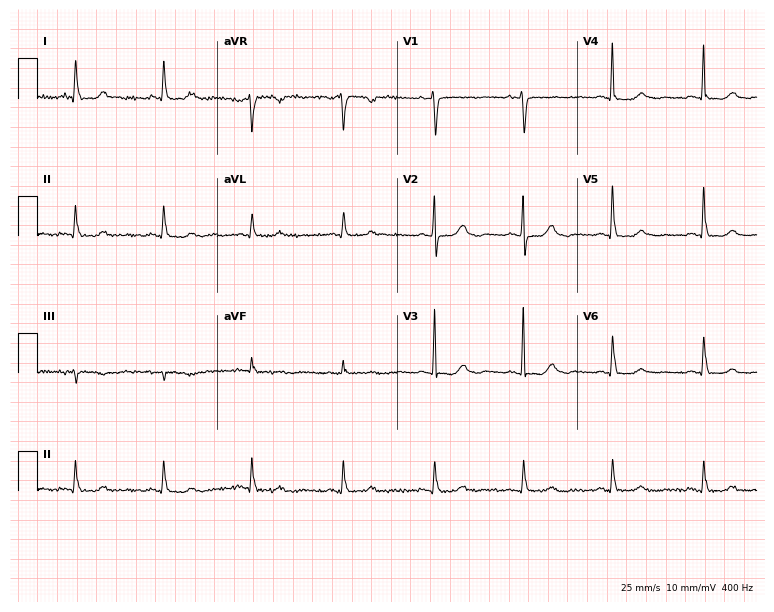
Standard 12-lead ECG recorded from a female patient, 72 years old. None of these six findings is recorded: first-degree AV block, right bundle branch block, left bundle branch block, sinus bradycardia, atrial fibrillation, sinus tachycardia. Only these six findings were labelled.